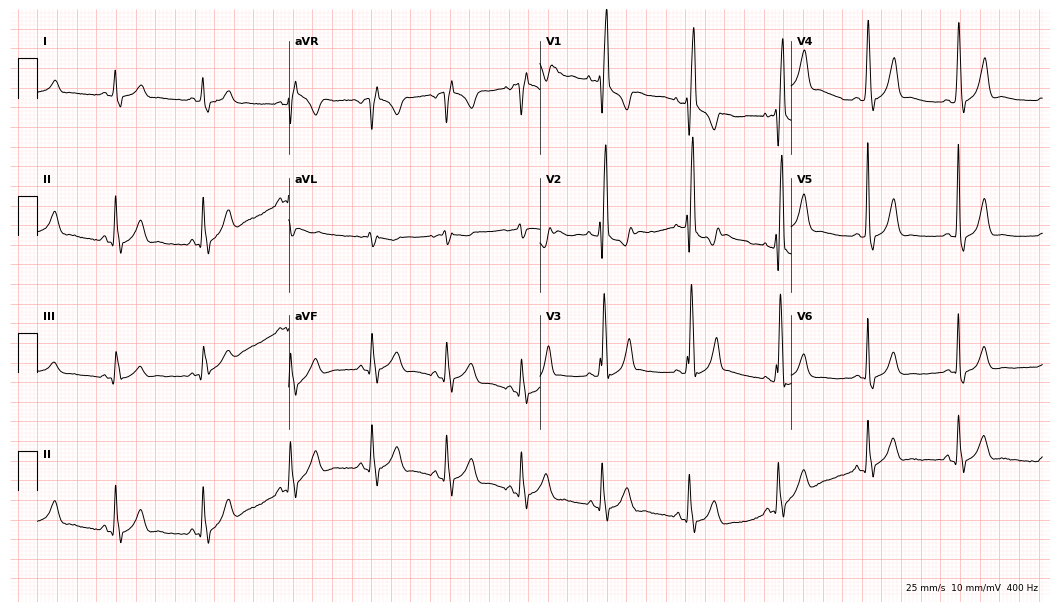
Resting 12-lead electrocardiogram (10.2-second recording at 400 Hz). Patient: a man, 29 years old. The tracing shows right bundle branch block.